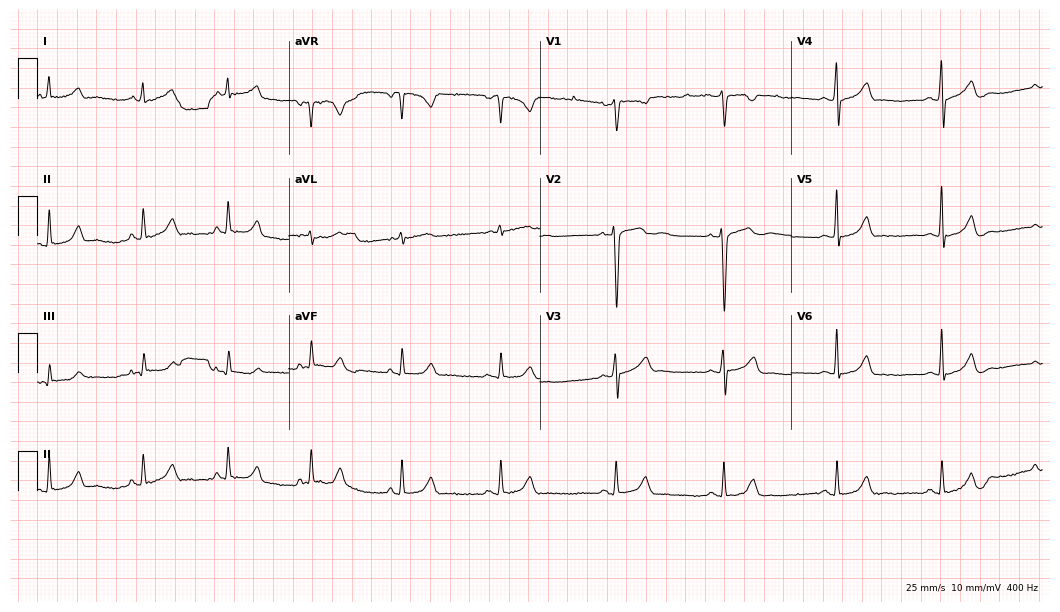
Resting 12-lead electrocardiogram (10.2-second recording at 400 Hz). Patient: a female, 26 years old. Read as a normal ECG.